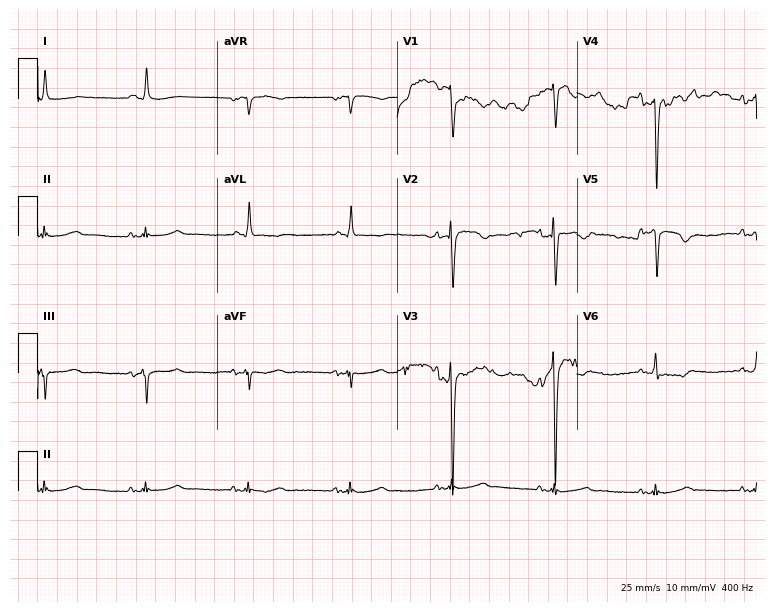
12-lead ECG (7.3-second recording at 400 Hz) from a male patient, 67 years old. Screened for six findings — first-degree AV block, right bundle branch block, left bundle branch block, sinus bradycardia, atrial fibrillation, sinus tachycardia — none is recorded. Other findings, if any, are not listed.